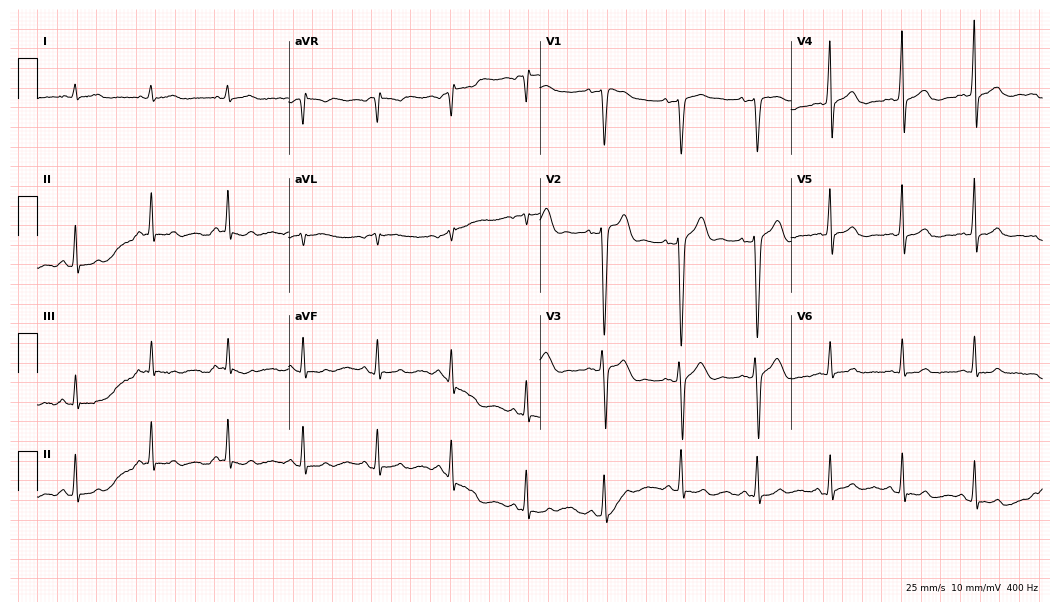
ECG (10.2-second recording at 400 Hz) — a 31-year-old male patient. Screened for six findings — first-degree AV block, right bundle branch block, left bundle branch block, sinus bradycardia, atrial fibrillation, sinus tachycardia — none is recorded. Other findings, if any, are not listed.